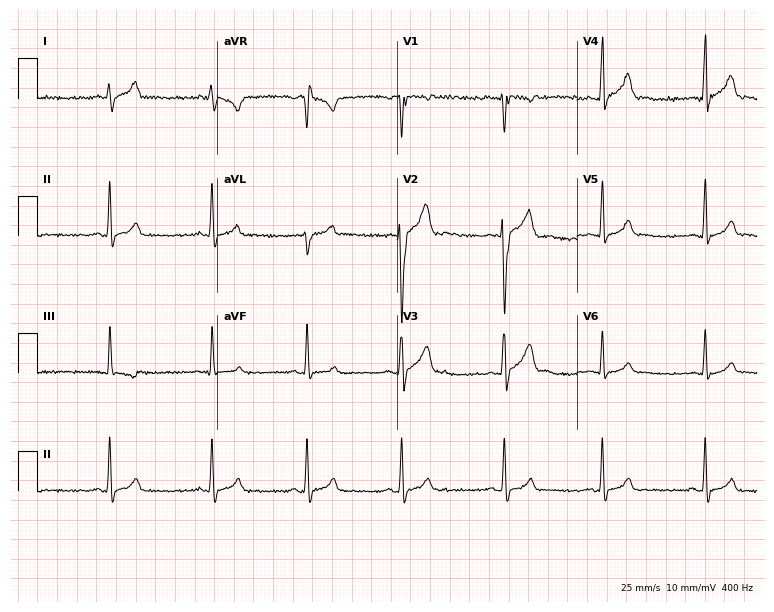
Standard 12-lead ECG recorded from a 26-year-old man (7.3-second recording at 400 Hz). Read as a normal ECG.